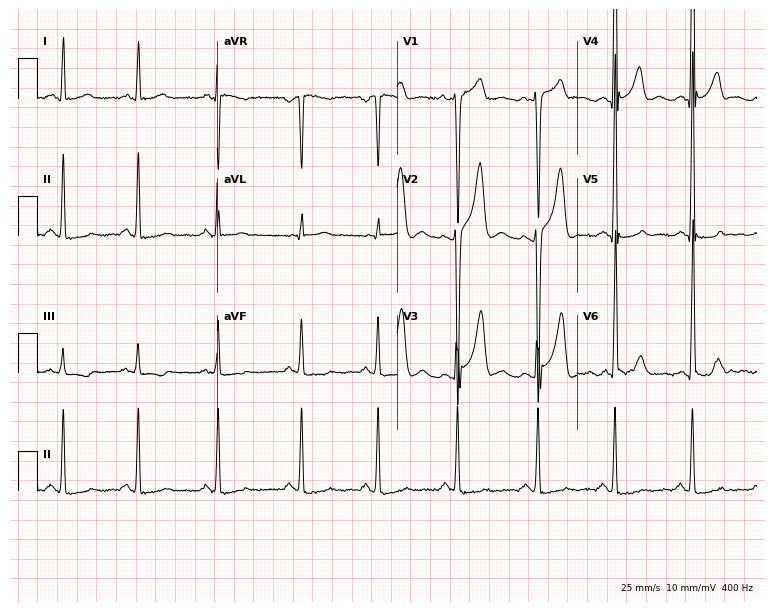
Resting 12-lead electrocardiogram. Patient: a male, 31 years old. None of these six findings is recorded: first-degree AV block, right bundle branch block, left bundle branch block, sinus bradycardia, atrial fibrillation, sinus tachycardia. Findings outside these six are not listed.